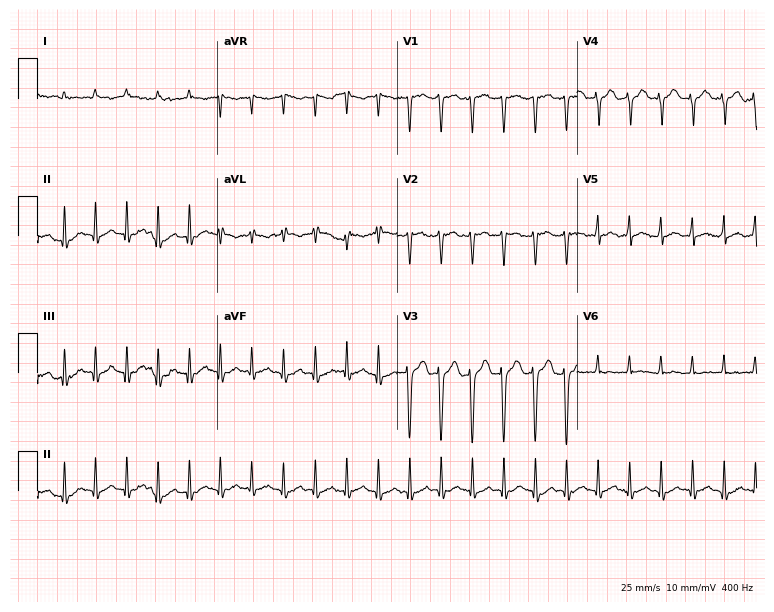
12-lead ECG (7.3-second recording at 400 Hz) from a 73-year-old man. Findings include atrial fibrillation.